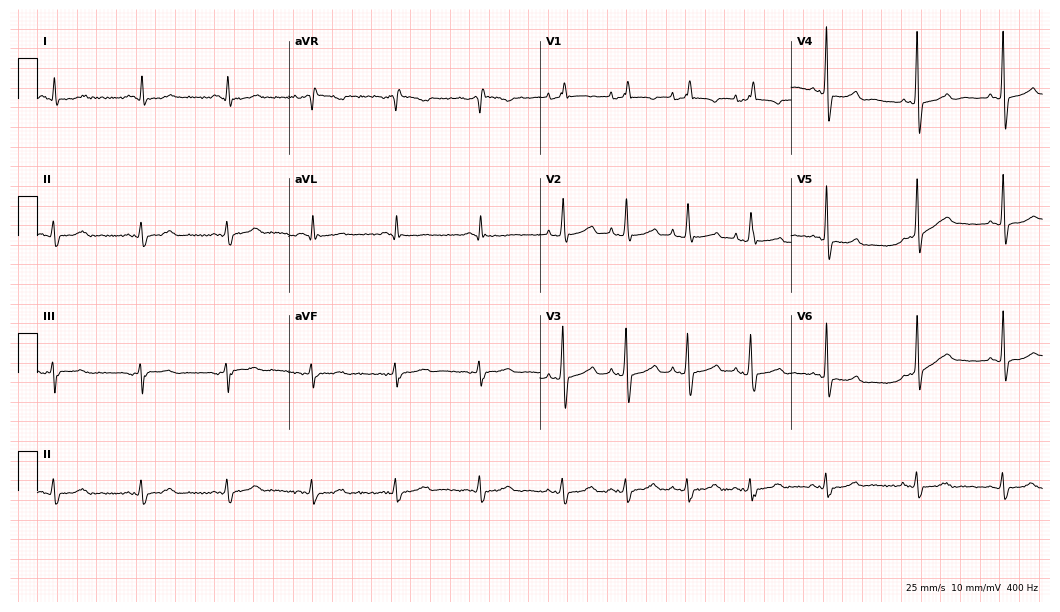
Standard 12-lead ECG recorded from a female patient, 75 years old (10.2-second recording at 400 Hz). Read as a normal ECG.